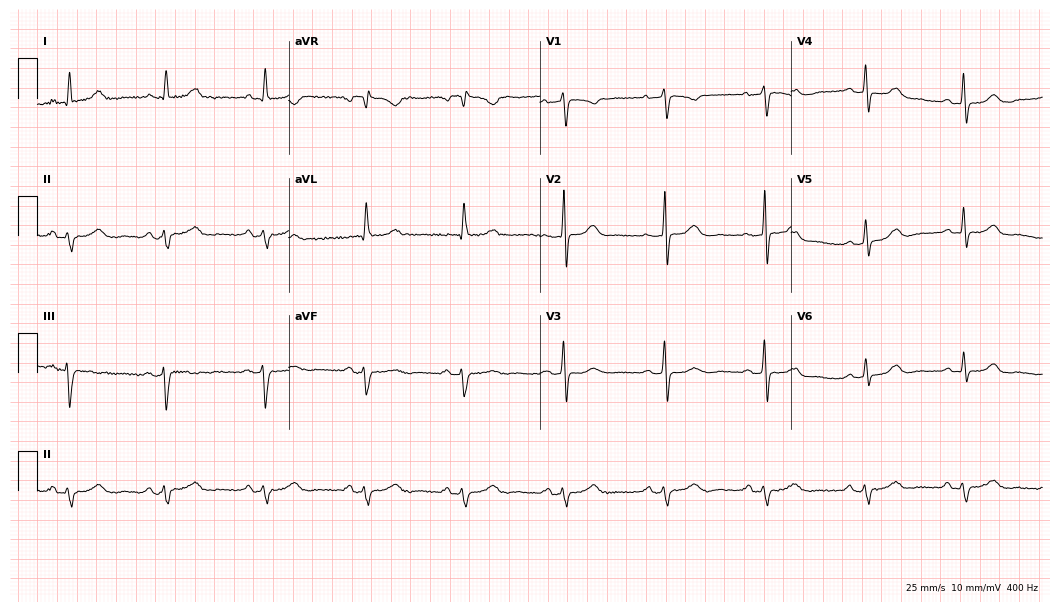
ECG — a 60-year-old female. Screened for six findings — first-degree AV block, right bundle branch block (RBBB), left bundle branch block (LBBB), sinus bradycardia, atrial fibrillation (AF), sinus tachycardia — none is recorded. Findings outside these six are not listed.